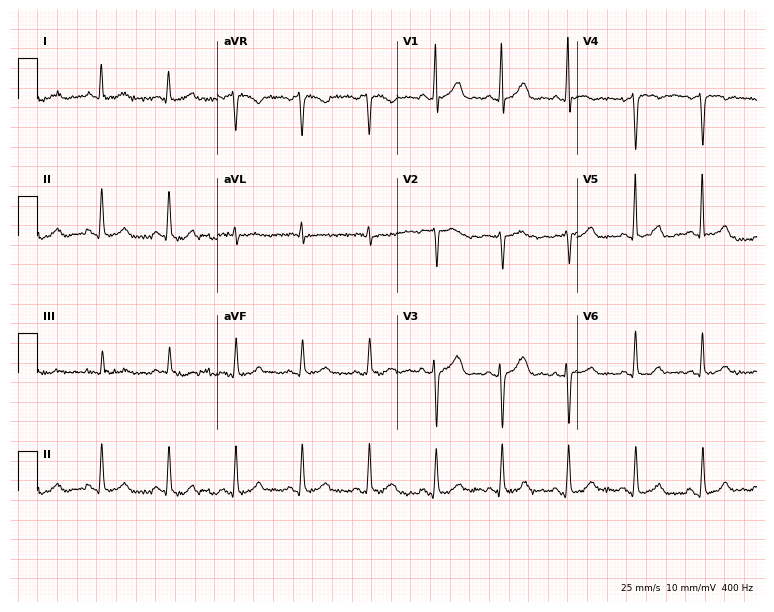
Electrocardiogram (7.3-second recording at 400 Hz), a man, 69 years old. Overall reading on record: normal ECG.